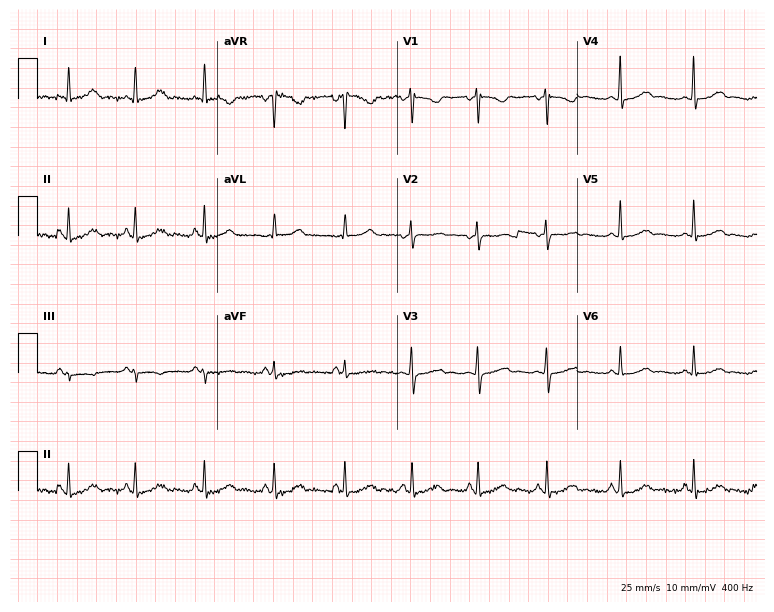
Standard 12-lead ECG recorded from a 45-year-old female patient (7.3-second recording at 400 Hz). Read as a normal ECG.